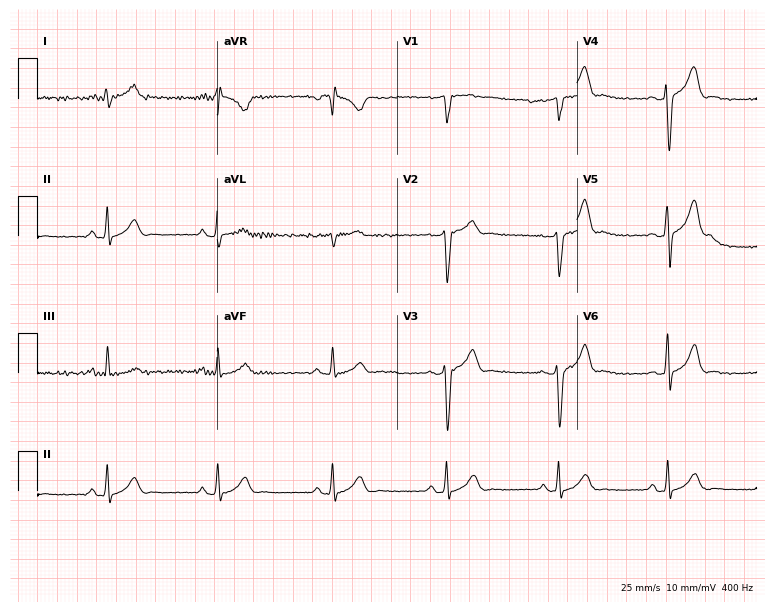
ECG — a man, 32 years old. Screened for six findings — first-degree AV block, right bundle branch block (RBBB), left bundle branch block (LBBB), sinus bradycardia, atrial fibrillation (AF), sinus tachycardia — none is recorded. Other findings, if any, are not listed.